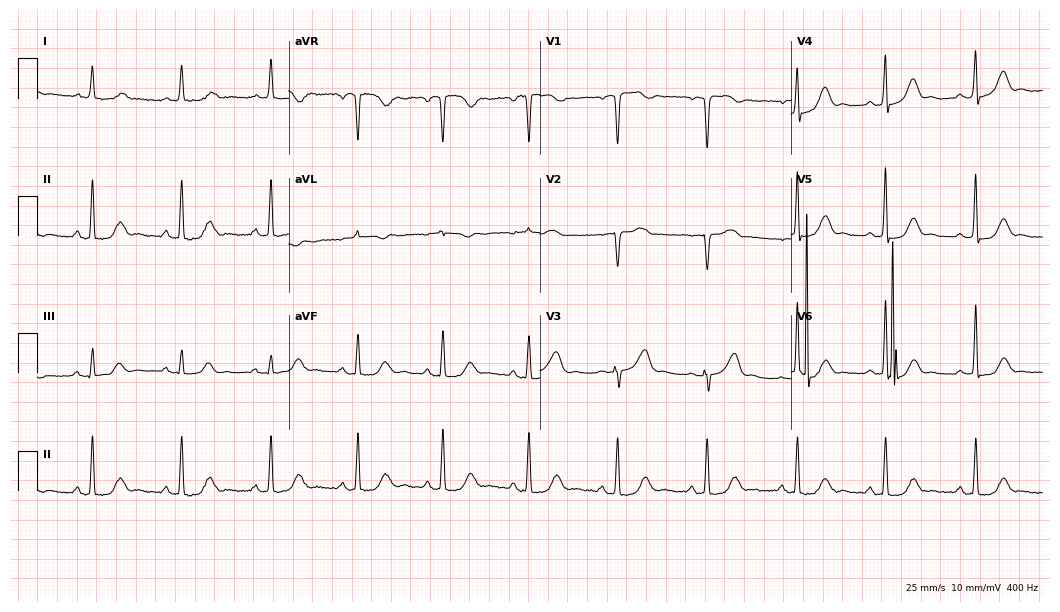
Resting 12-lead electrocardiogram. Patient: a female, 58 years old. None of these six findings is recorded: first-degree AV block, right bundle branch block, left bundle branch block, sinus bradycardia, atrial fibrillation, sinus tachycardia.